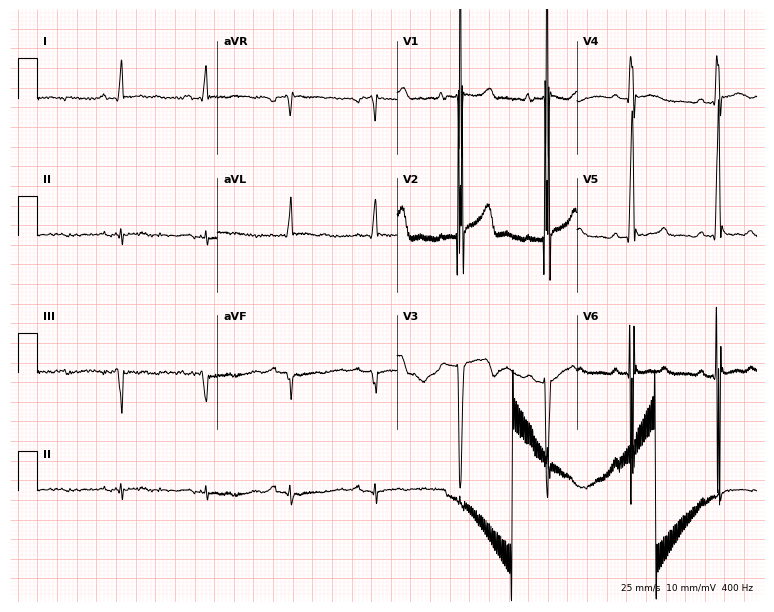
Resting 12-lead electrocardiogram. Patient: a man, 56 years old. None of these six findings is recorded: first-degree AV block, right bundle branch block, left bundle branch block, sinus bradycardia, atrial fibrillation, sinus tachycardia.